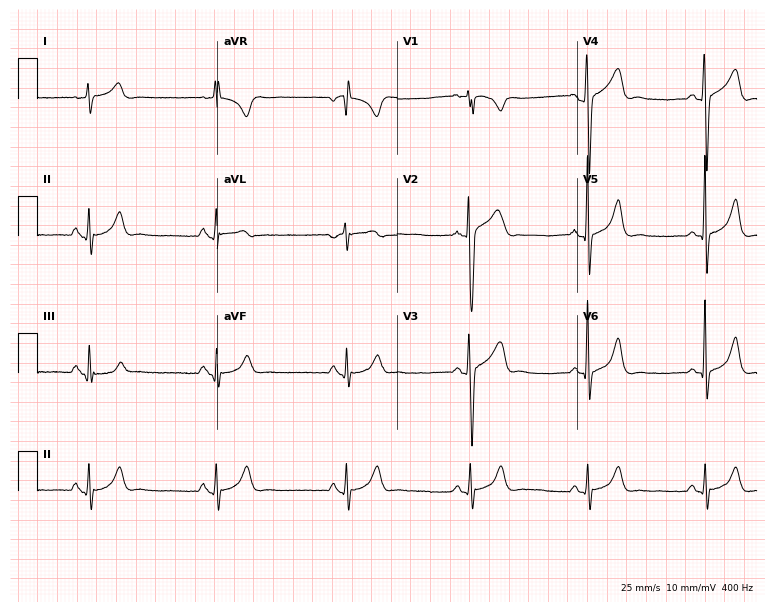
12-lead ECG from a male, 34 years old. Findings include sinus bradycardia (a sinus rate of 50 beats per minute or less).